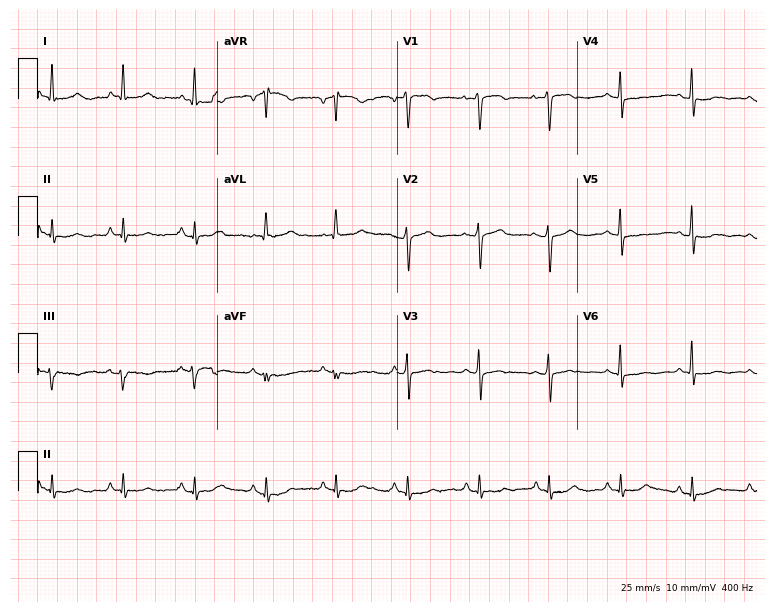
Electrocardiogram (7.3-second recording at 400 Hz), a woman, 56 years old. Overall reading on record: normal ECG.